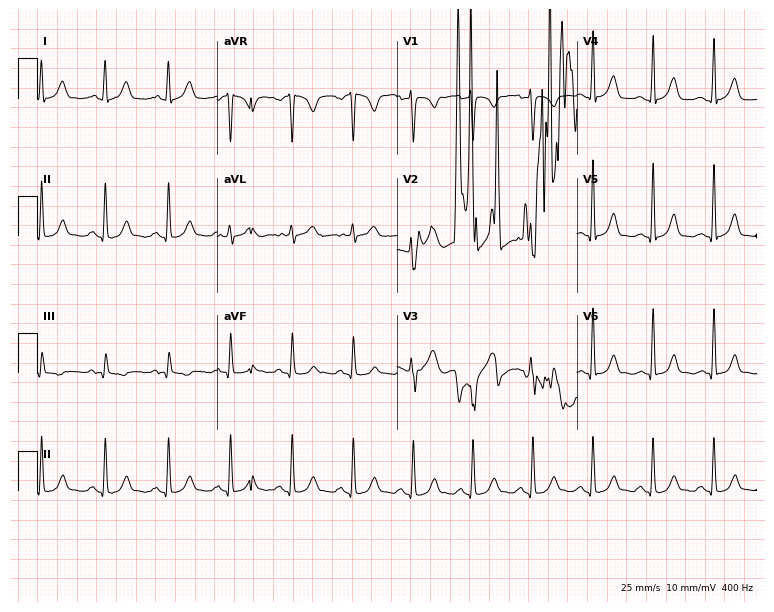
Standard 12-lead ECG recorded from a woman, 36 years old. None of these six findings is recorded: first-degree AV block, right bundle branch block, left bundle branch block, sinus bradycardia, atrial fibrillation, sinus tachycardia. Findings outside these six are not listed.